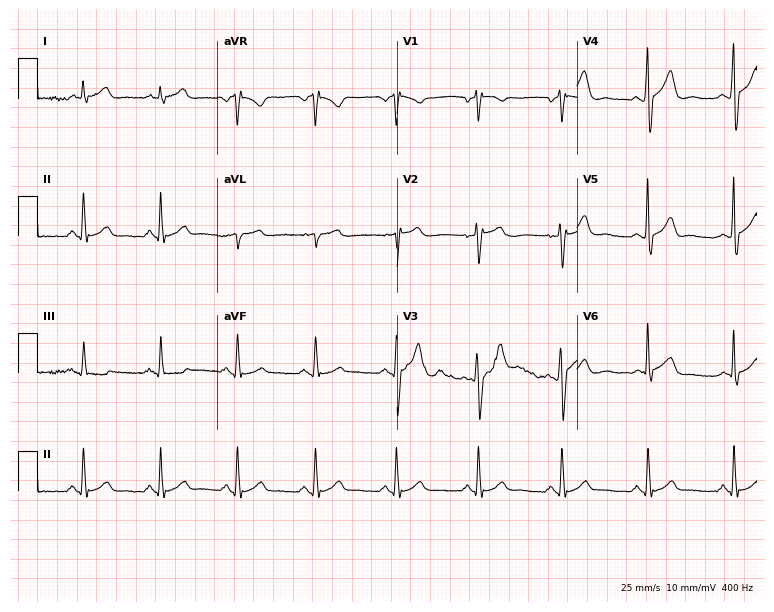
Resting 12-lead electrocardiogram (7.3-second recording at 400 Hz). Patient: a 43-year-old man. Read as a normal ECG.